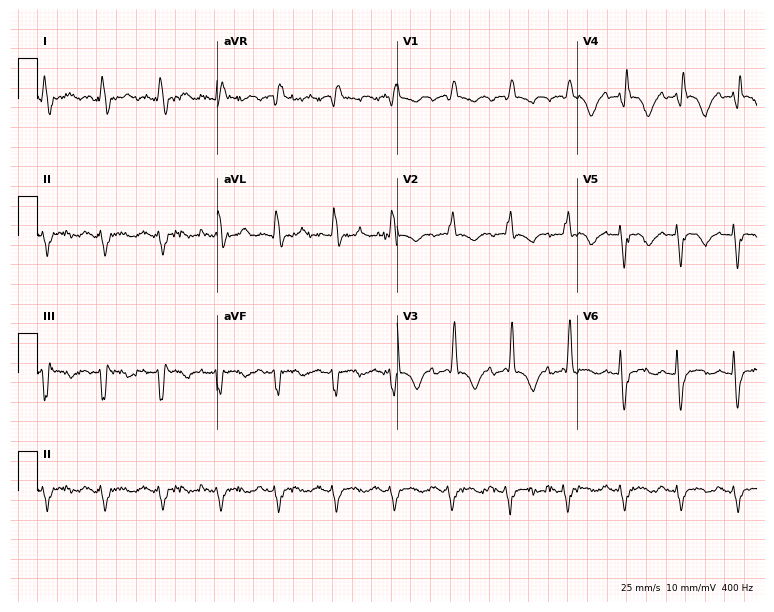
Standard 12-lead ECG recorded from a 77-year-old female patient (7.3-second recording at 400 Hz). The tracing shows right bundle branch block (RBBB), sinus tachycardia (a sinus rate of 100 beats per minute or more).